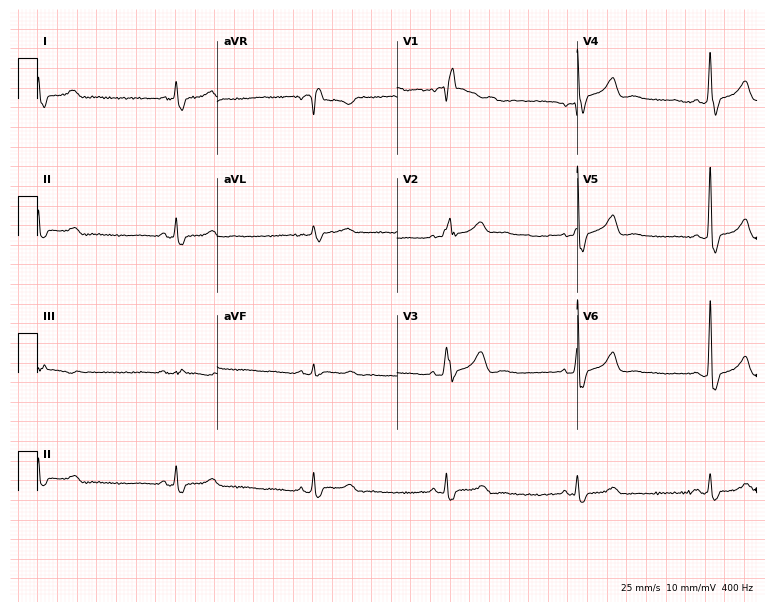
Standard 12-lead ECG recorded from a man, 63 years old (7.3-second recording at 400 Hz). The tracing shows right bundle branch block.